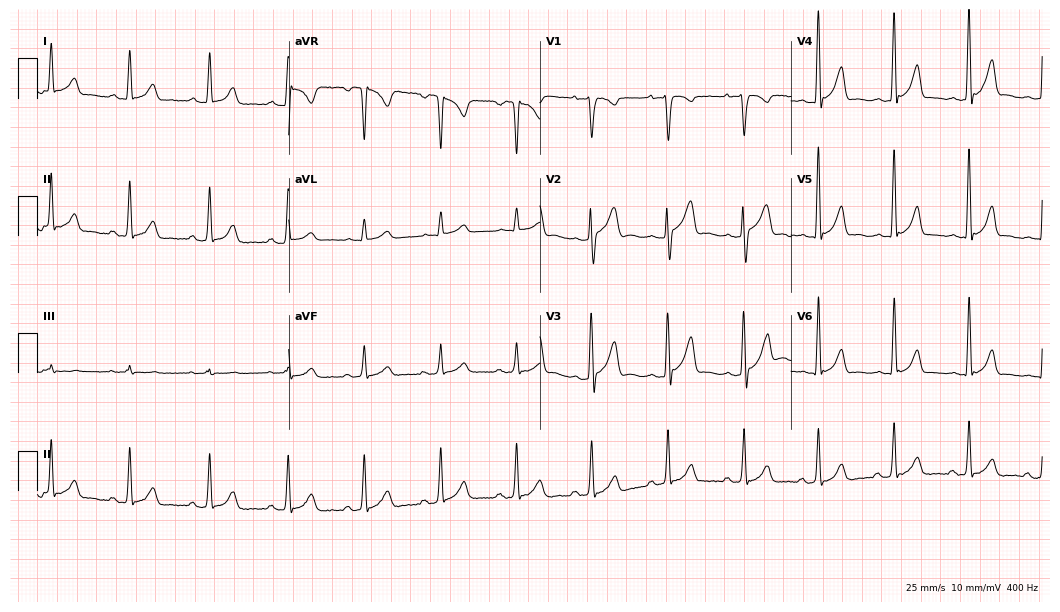
ECG — a man, 24 years old. Screened for six findings — first-degree AV block, right bundle branch block, left bundle branch block, sinus bradycardia, atrial fibrillation, sinus tachycardia — none is recorded. Only these six findings were labelled.